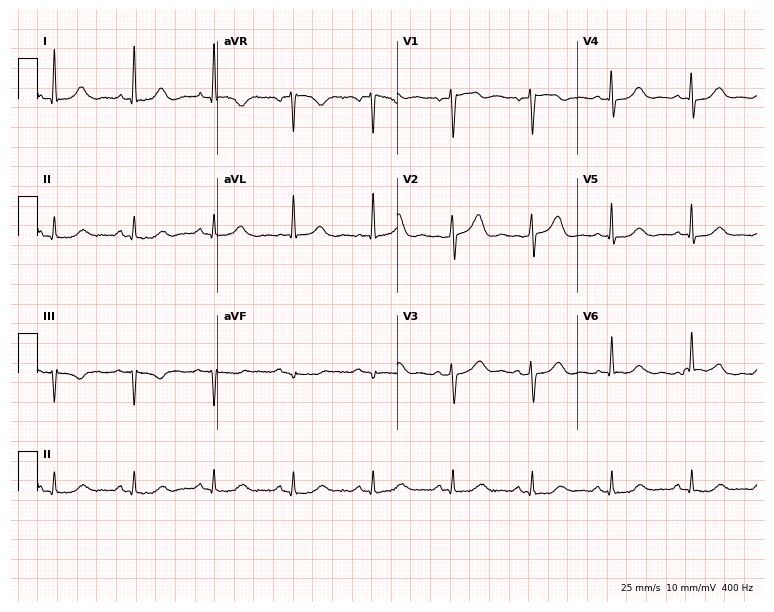
ECG (7.3-second recording at 400 Hz) — a 79-year-old male patient. Labelled as a normal ECG.